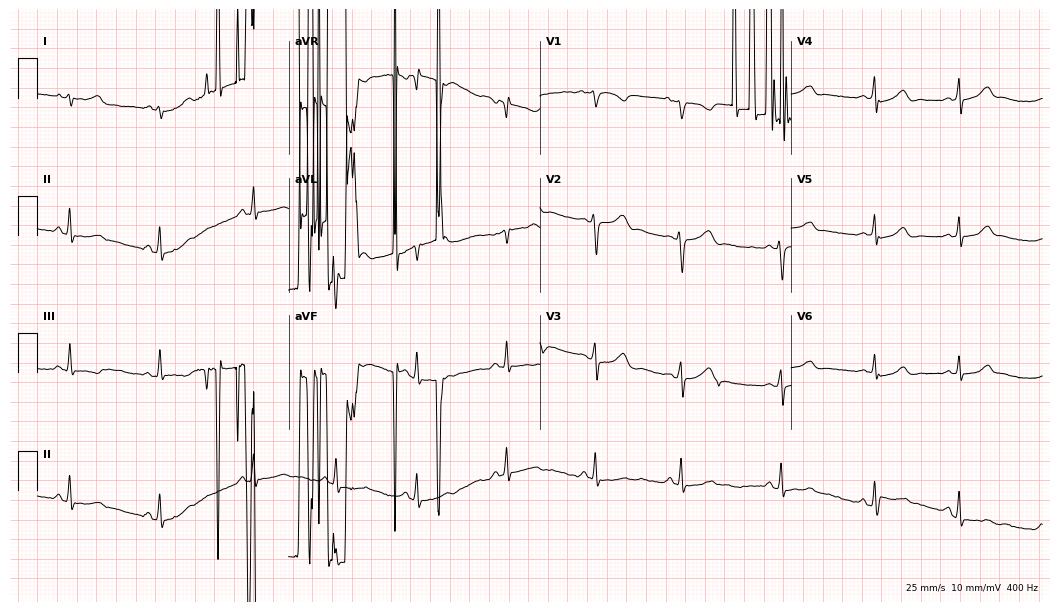
12-lead ECG (10.2-second recording at 400 Hz) from a woman, 17 years old. Labelled as a normal ECG.